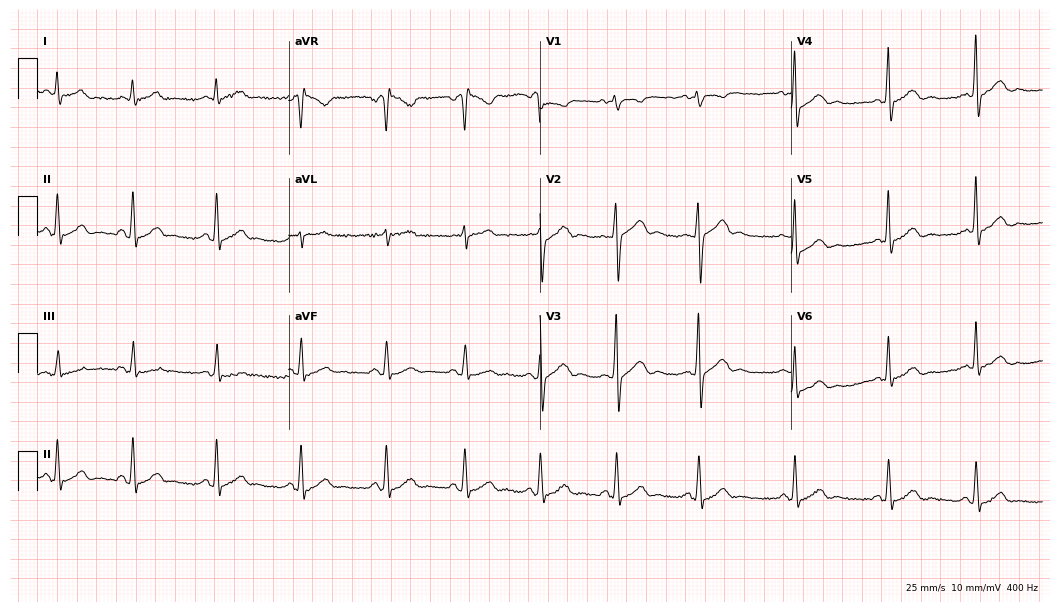
Electrocardiogram (10.2-second recording at 400 Hz), a woman, 38 years old. Overall reading on record: normal ECG.